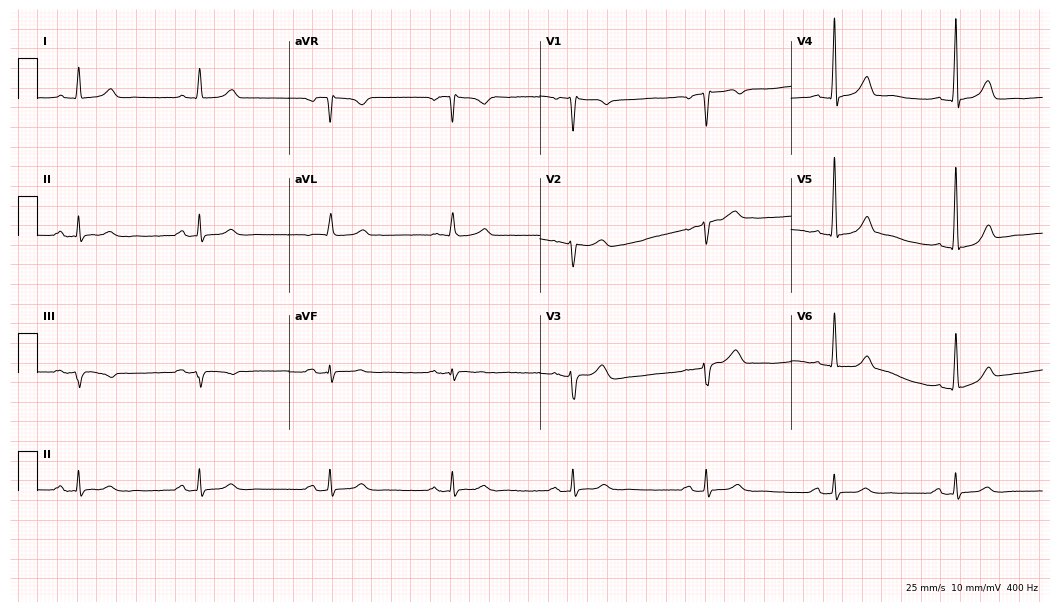
Standard 12-lead ECG recorded from a 72-year-old male patient (10.2-second recording at 400 Hz). Read as a normal ECG.